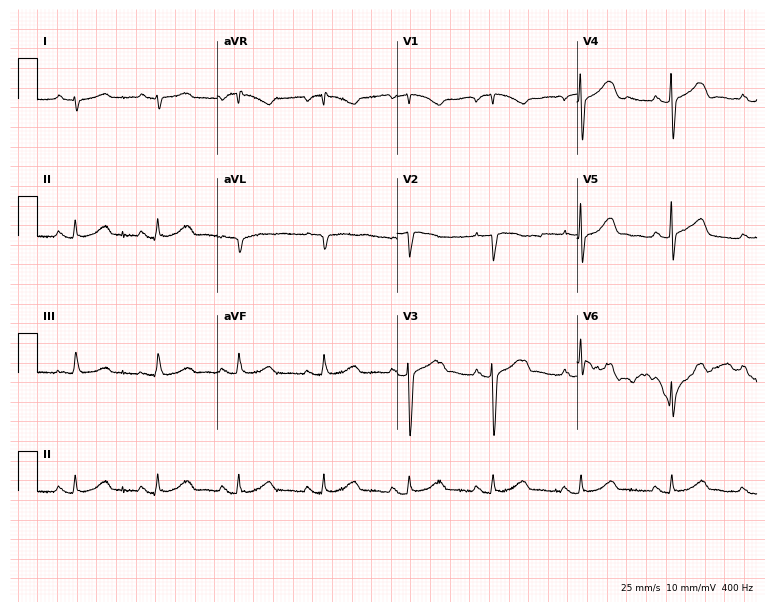
12-lead ECG from a 37-year-old female patient (7.3-second recording at 400 Hz). No first-degree AV block, right bundle branch block (RBBB), left bundle branch block (LBBB), sinus bradycardia, atrial fibrillation (AF) or sinus tachycardia recorded for this tracing. Findings outside these six are not listed.